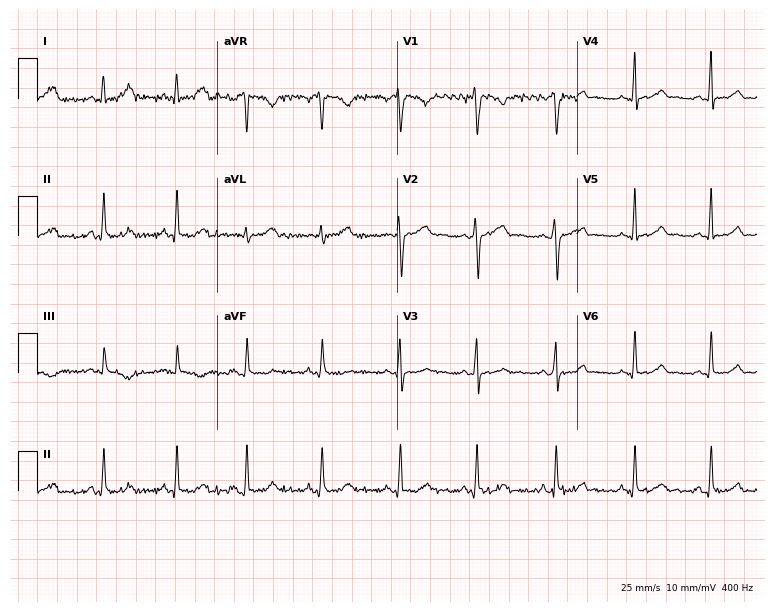
12-lead ECG (7.3-second recording at 400 Hz) from a female, 26 years old. Labelled as a normal ECG.